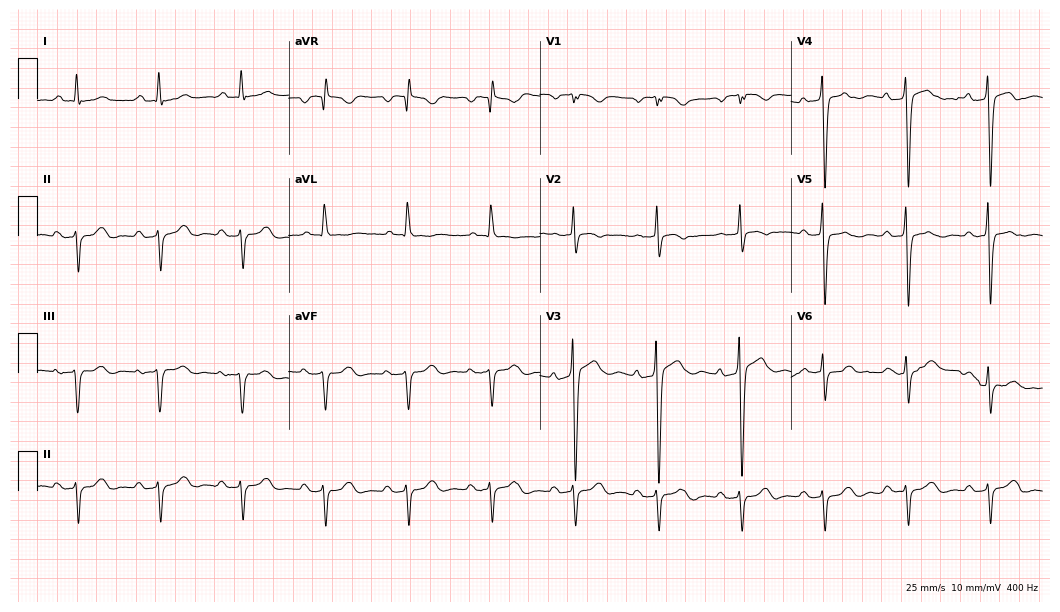
Electrocardiogram, an 82-year-old man. Of the six screened findings (first-degree AV block, right bundle branch block, left bundle branch block, sinus bradycardia, atrial fibrillation, sinus tachycardia), none is recorded. Findings outside these six are not listed.